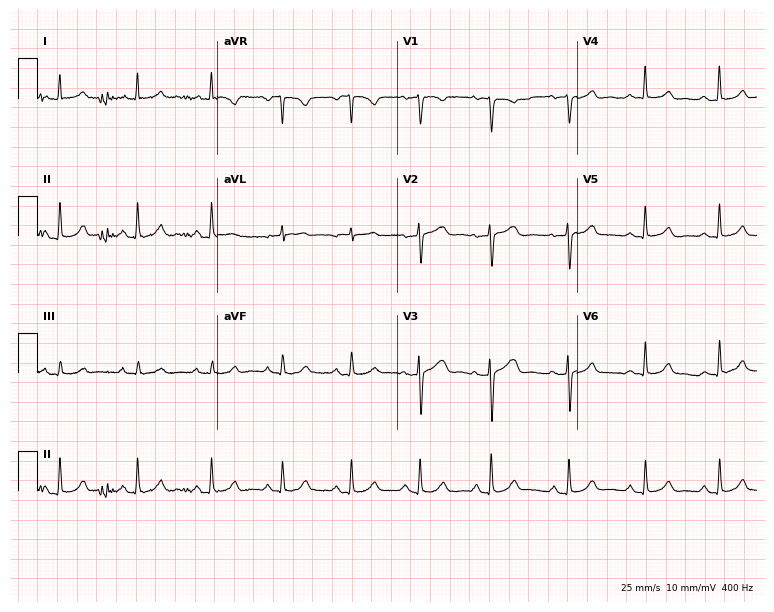
Electrocardiogram (7.3-second recording at 400 Hz), a woman, 39 years old. Overall reading on record: normal ECG.